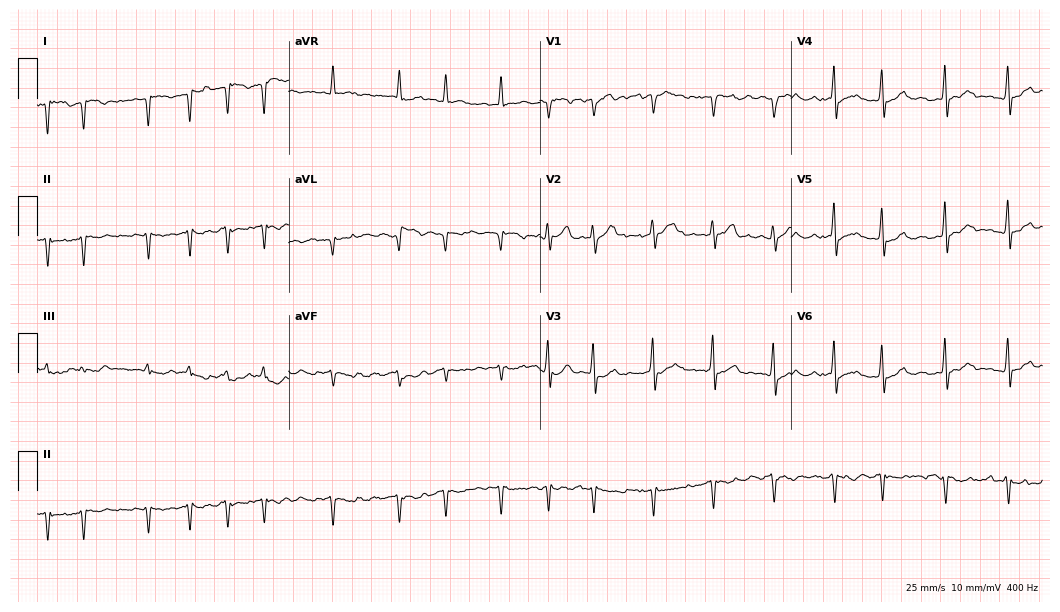
Electrocardiogram, an 84-year-old male patient. Interpretation includes atrial fibrillation.